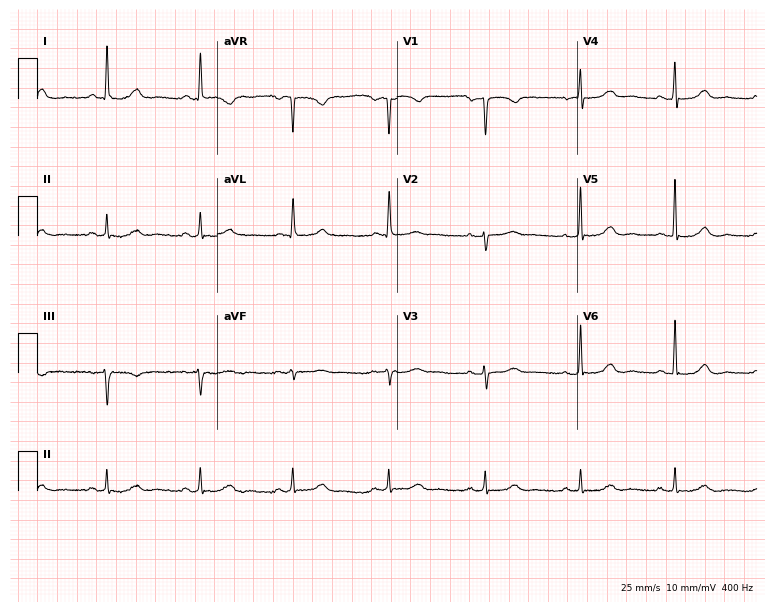
ECG (7.3-second recording at 400 Hz) — a 68-year-old female. Labelled as a normal ECG.